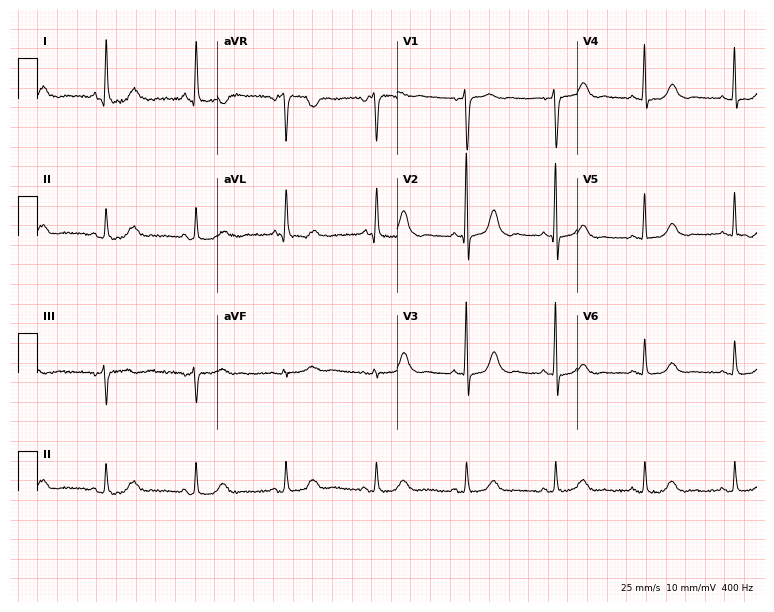
Electrocardiogram, a 62-year-old woman. Overall reading on record: normal ECG.